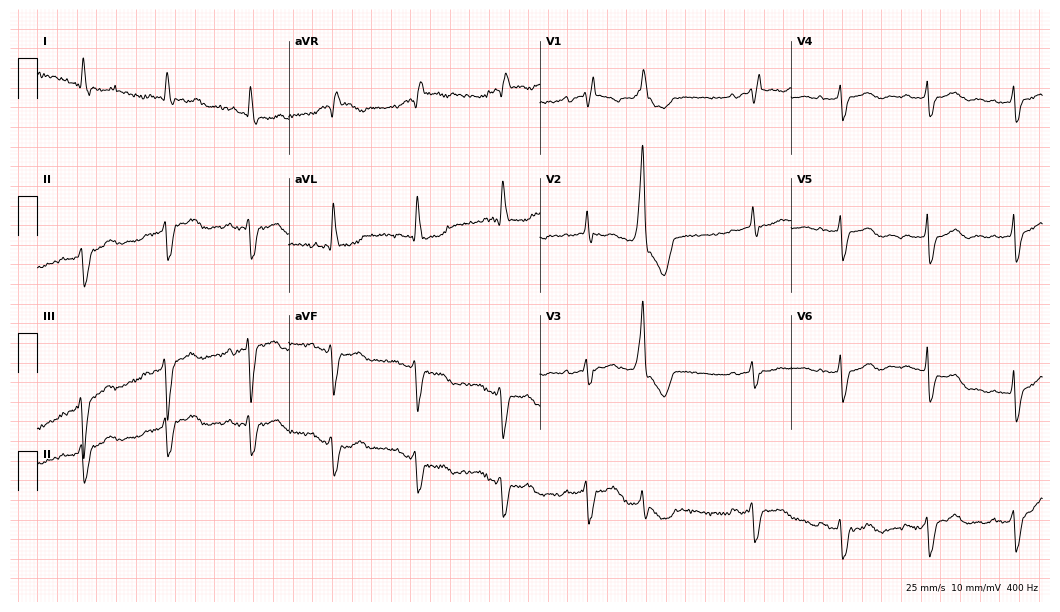
Electrocardiogram, a female patient, 66 years old. Interpretation includes right bundle branch block.